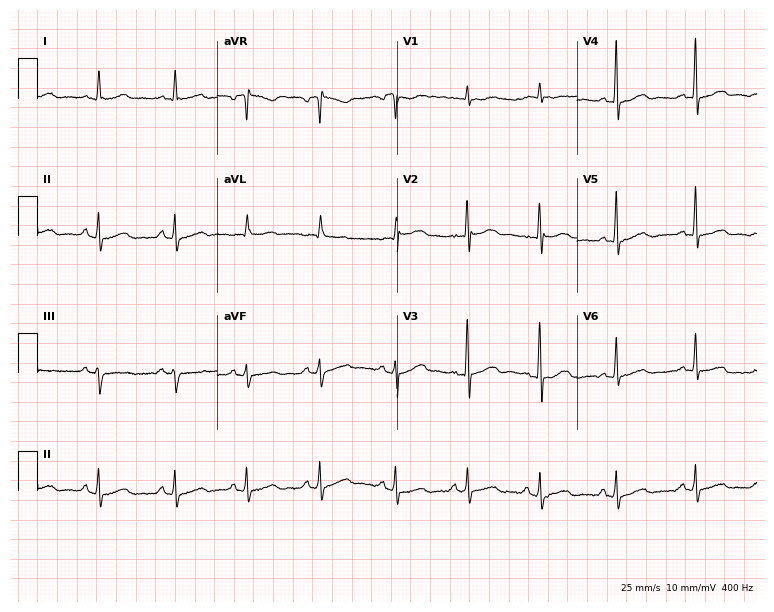
Standard 12-lead ECG recorded from a 57-year-old female. None of these six findings is recorded: first-degree AV block, right bundle branch block (RBBB), left bundle branch block (LBBB), sinus bradycardia, atrial fibrillation (AF), sinus tachycardia.